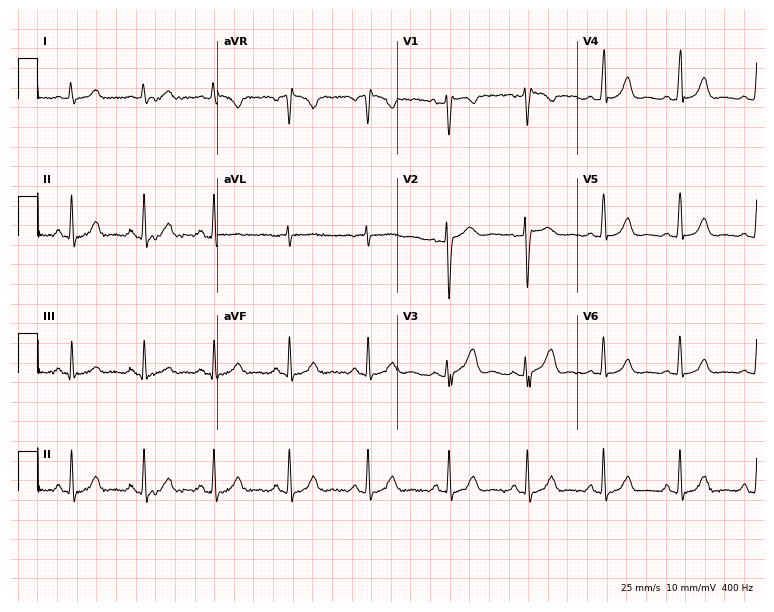
Standard 12-lead ECG recorded from a woman, 27 years old. Read as a normal ECG.